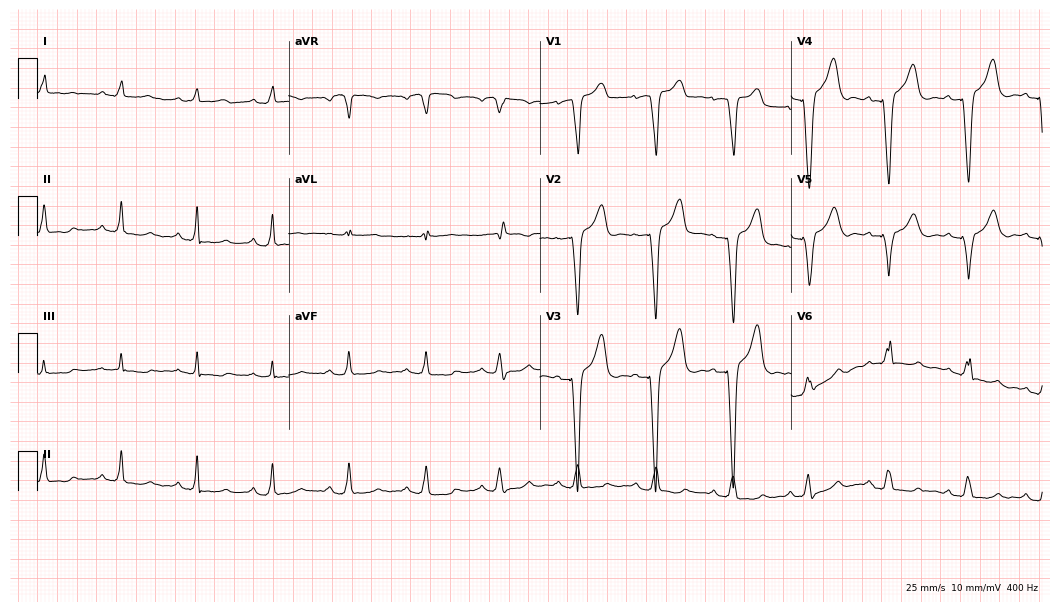
12-lead ECG from a female, 65 years old. No first-degree AV block, right bundle branch block (RBBB), left bundle branch block (LBBB), sinus bradycardia, atrial fibrillation (AF) or sinus tachycardia recorded for this tracing. Other findings, if any, are not listed.